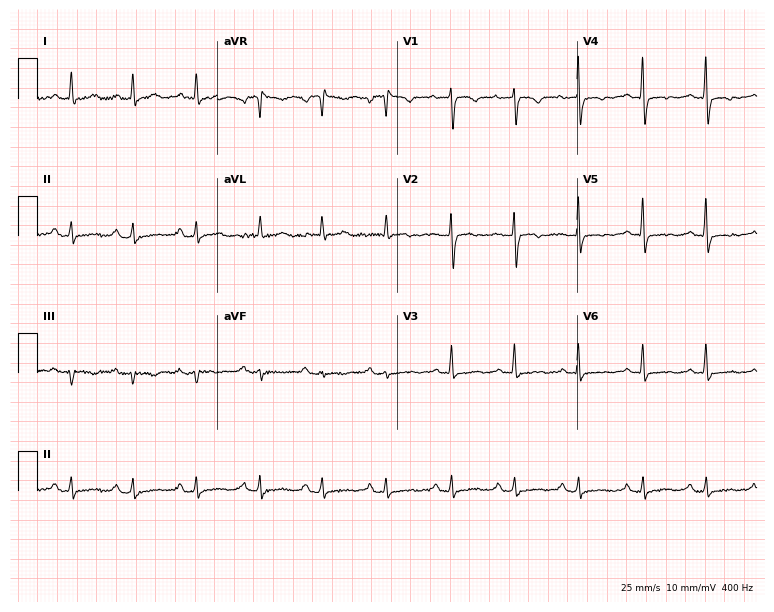
Electrocardiogram, a 68-year-old female. Of the six screened findings (first-degree AV block, right bundle branch block (RBBB), left bundle branch block (LBBB), sinus bradycardia, atrial fibrillation (AF), sinus tachycardia), none is recorded.